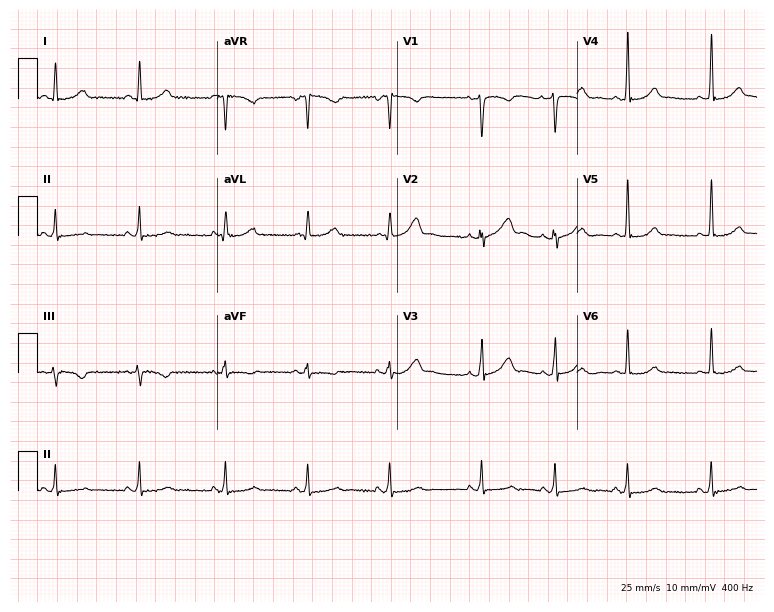
12-lead ECG from a 30-year-old female patient (7.3-second recording at 400 Hz). No first-degree AV block, right bundle branch block, left bundle branch block, sinus bradycardia, atrial fibrillation or sinus tachycardia recorded for this tracing.